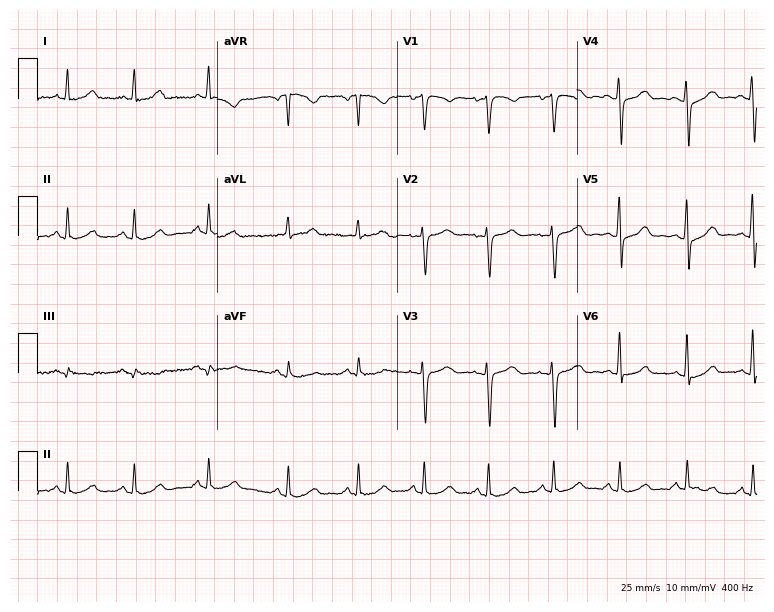
12-lead ECG from a 42-year-old female patient. Labelled as a normal ECG.